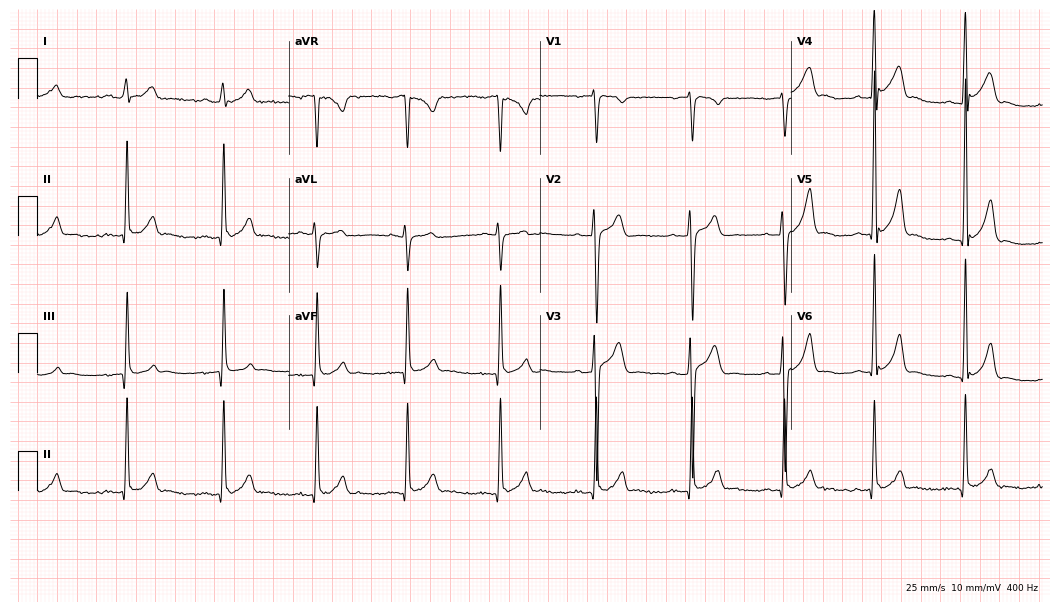
Electrocardiogram, an 18-year-old male. Overall reading on record: normal ECG.